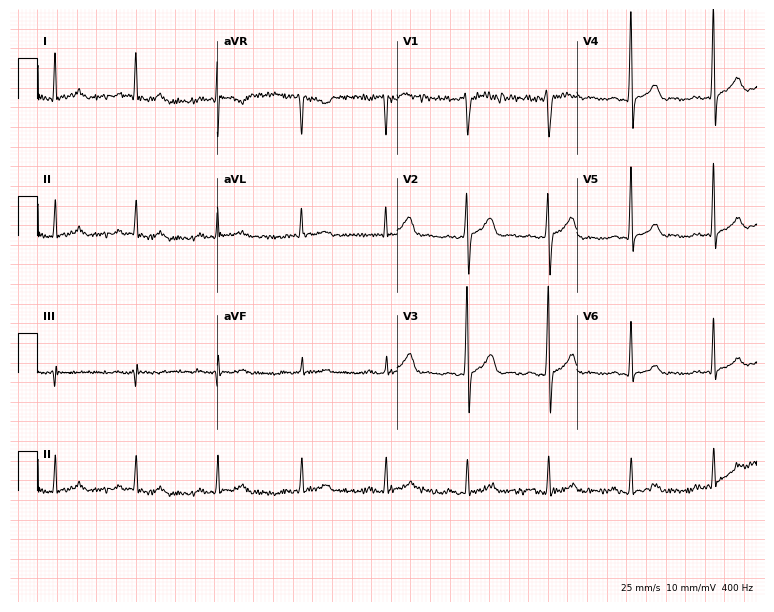
Standard 12-lead ECG recorded from a 31-year-old male. Read as a normal ECG.